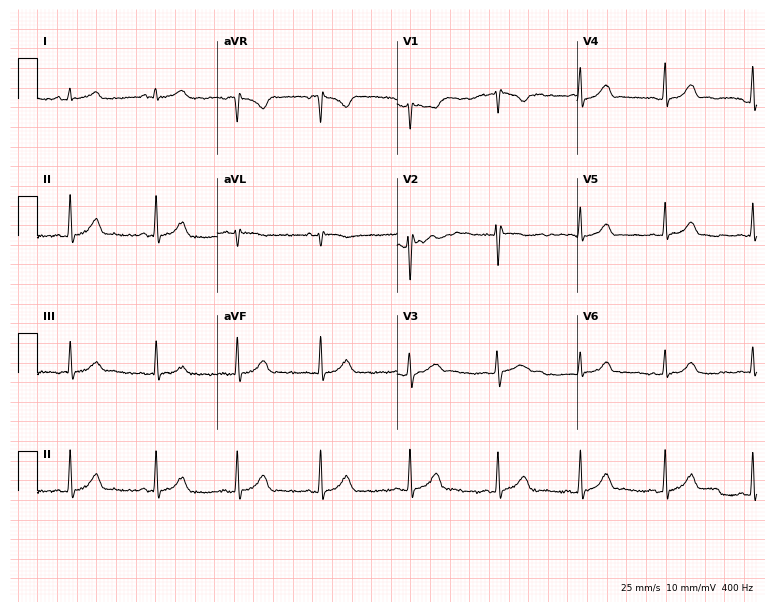
12-lead ECG from a 20-year-old female. Recorded interpretation: within normal limits.